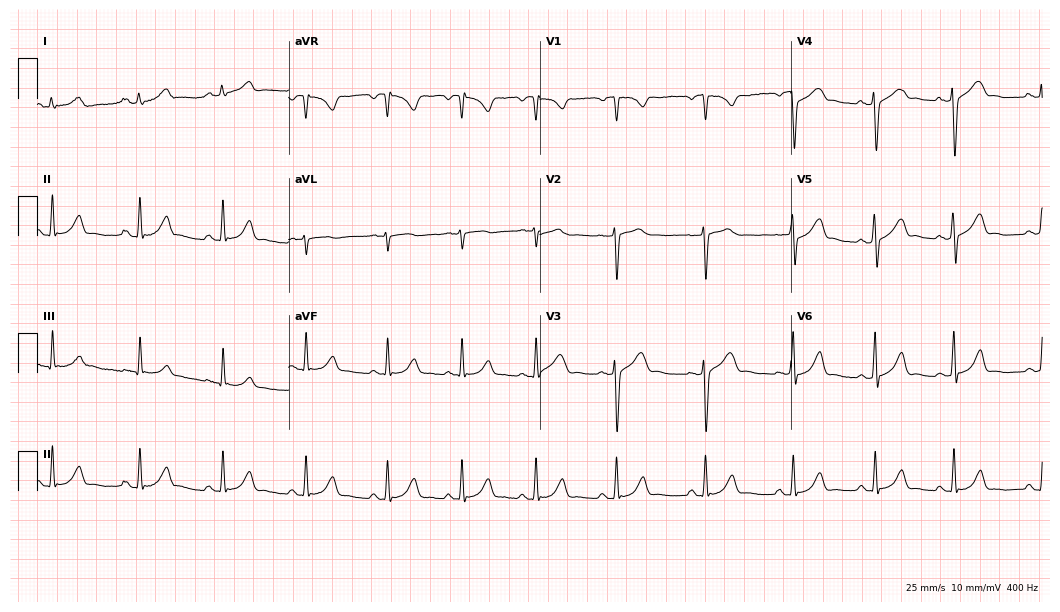
12-lead ECG (10.2-second recording at 400 Hz) from a woman, 22 years old. Labelled as a normal ECG.